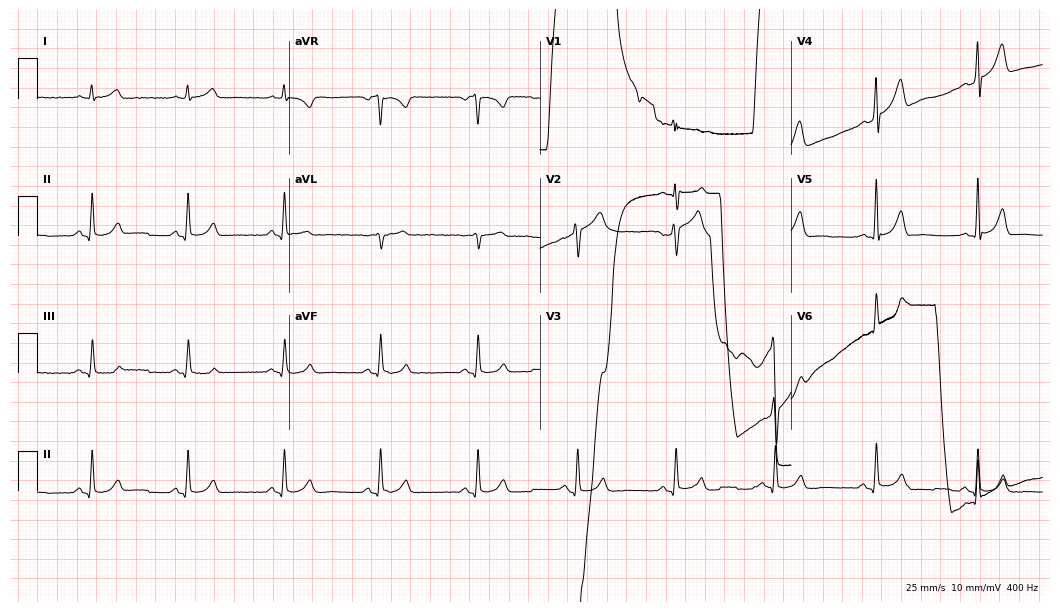
ECG — a 41-year-old male patient. Screened for six findings — first-degree AV block, right bundle branch block (RBBB), left bundle branch block (LBBB), sinus bradycardia, atrial fibrillation (AF), sinus tachycardia — none is recorded.